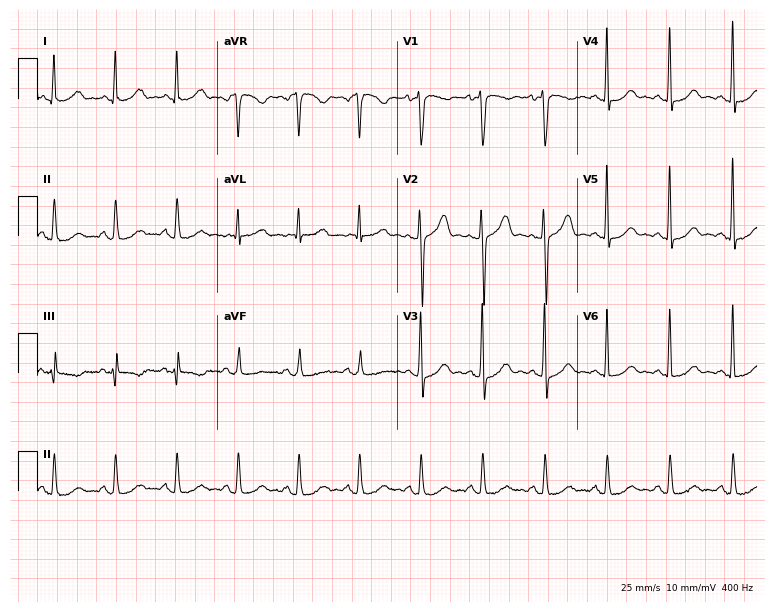
Standard 12-lead ECG recorded from a woman, 42 years old. Read as a normal ECG.